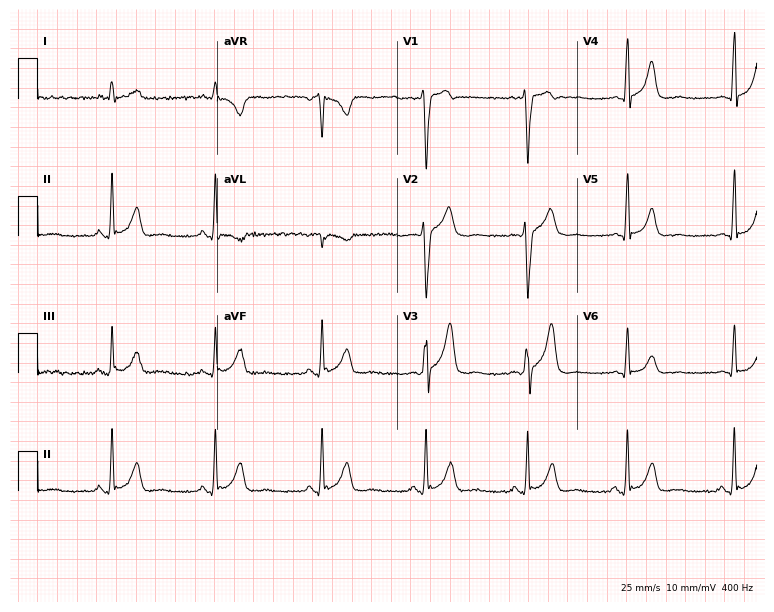
12-lead ECG from a man, 26 years old. Screened for six findings — first-degree AV block, right bundle branch block, left bundle branch block, sinus bradycardia, atrial fibrillation, sinus tachycardia — none is recorded.